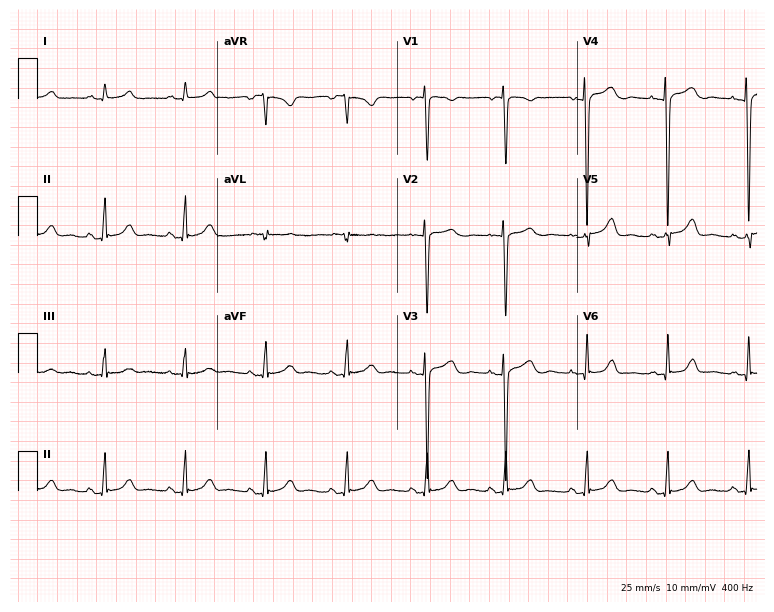
ECG (7.3-second recording at 400 Hz) — a woman, 40 years old. Labelled as a normal ECG.